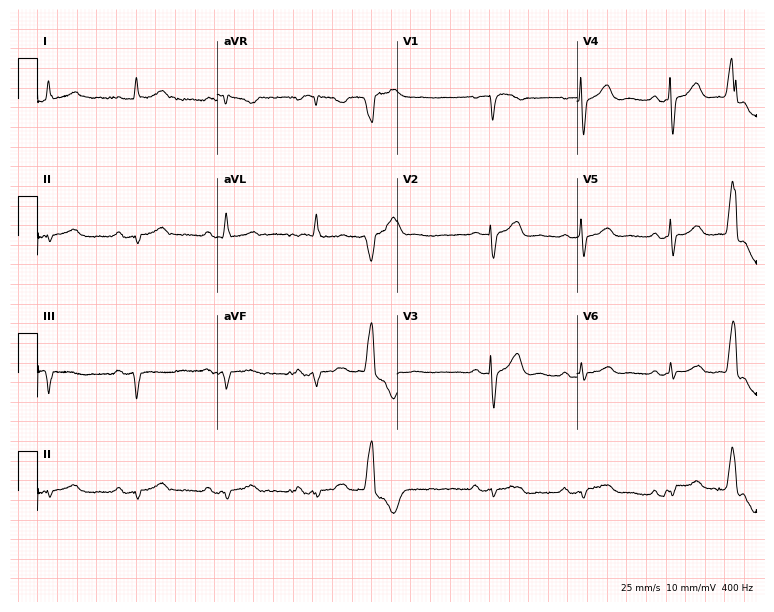
Resting 12-lead electrocardiogram. Patient: a 46-year-old man. None of these six findings is recorded: first-degree AV block, right bundle branch block, left bundle branch block, sinus bradycardia, atrial fibrillation, sinus tachycardia.